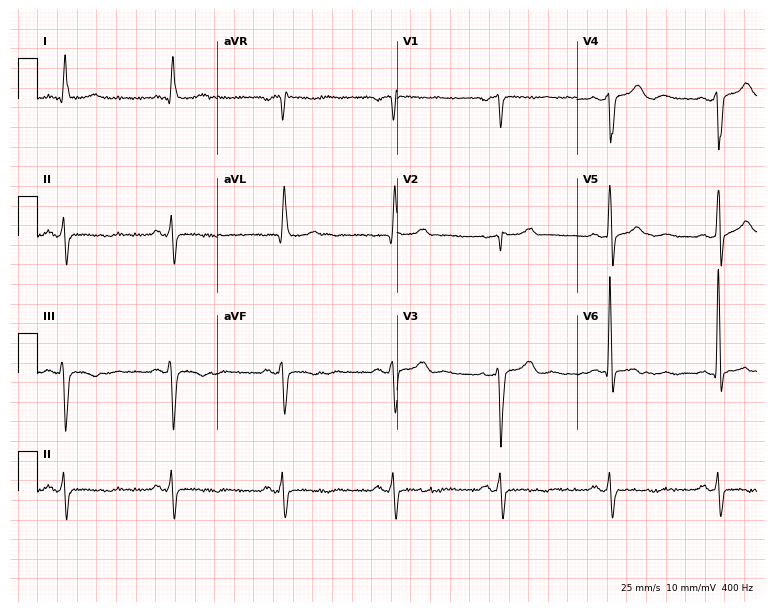
12-lead ECG from a 73-year-old man (7.3-second recording at 400 Hz). No first-degree AV block, right bundle branch block, left bundle branch block, sinus bradycardia, atrial fibrillation or sinus tachycardia recorded for this tracing.